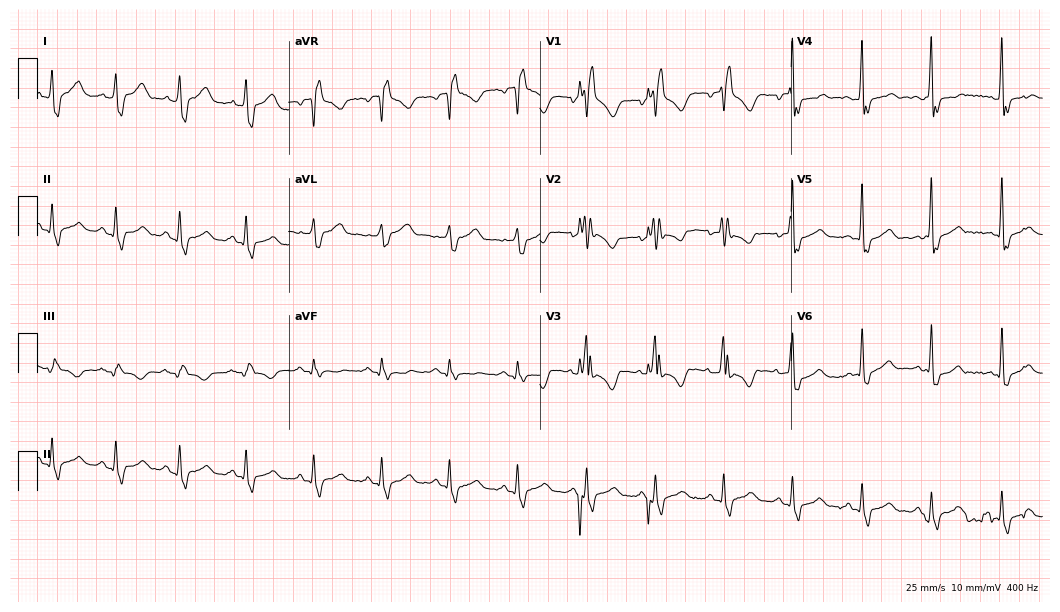
12-lead ECG from a female patient, 38 years old. Findings include right bundle branch block.